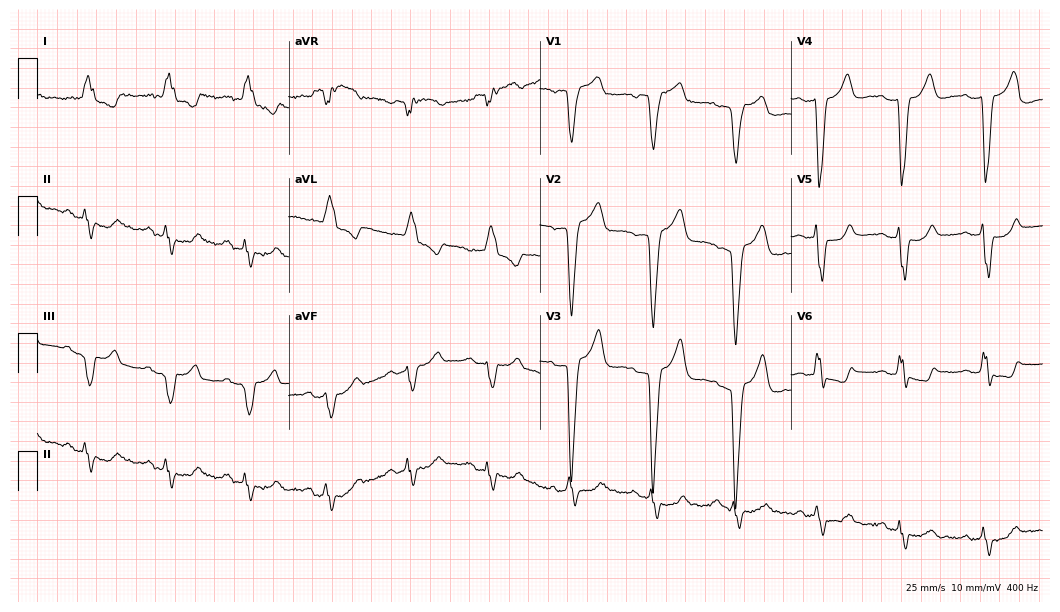
Standard 12-lead ECG recorded from a 73-year-old female patient. The tracing shows left bundle branch block (LBBB).